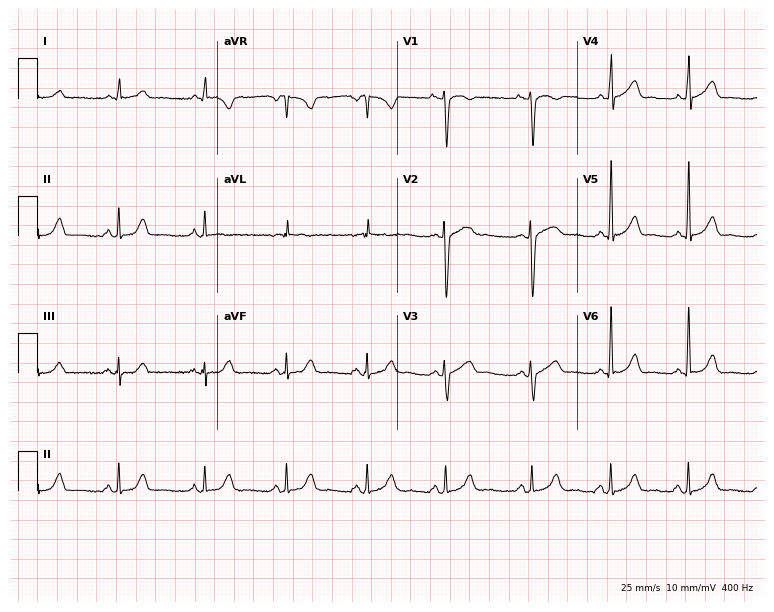
12-lead ECG from a 31-year-old woman (7.3-second recording at 400 Hz). Recorded interpretation: within normal limits.